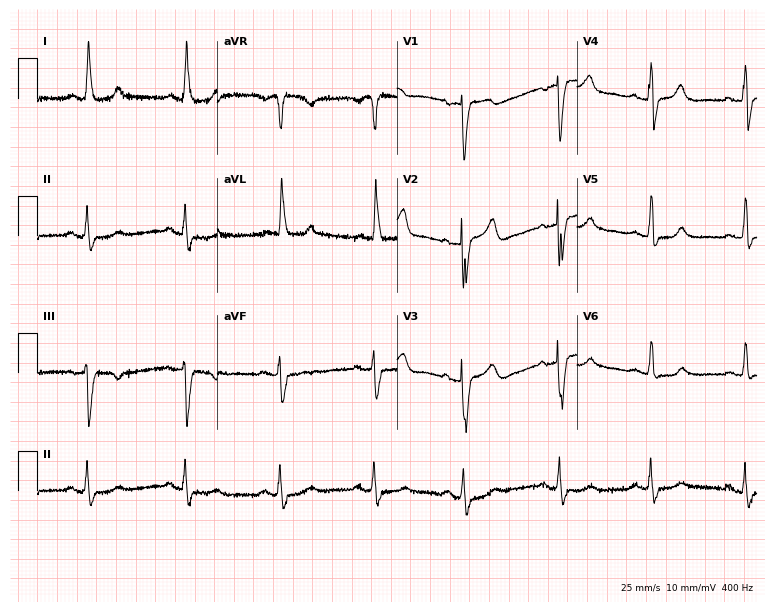
Electrocardiogram (7.3-second recording at 400 Hz), an 82-year-old woman. Of the six screened findings (first-degree AV block, right bundle branch block, left bundle branch block, sinus bradycardia, atrial fibrillation, sinus tachycardia), none is recorded.